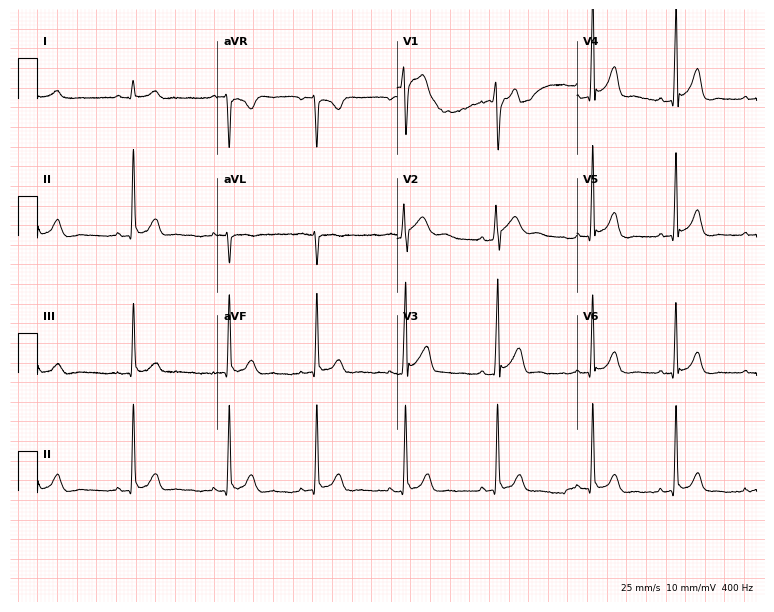
ECG (7.3-second recording at 400 Hz) — a male, 37 years old. Labelled as a normal ECG.